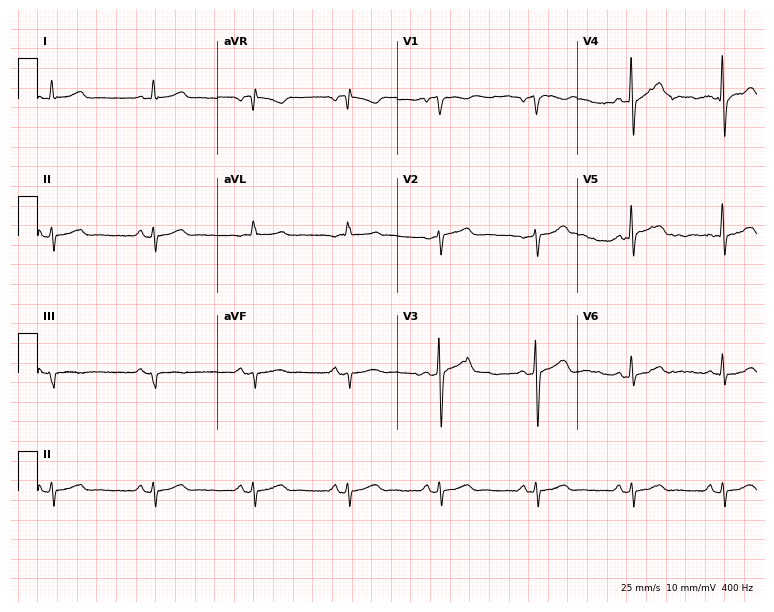
Standard 12-lead ECG recorded from a 59-year-old male (7.3-second recording at 400 Hz). None of these six findings is recorded: first-degree AV block, right bundle branch block, left bundle branch block, sinus bradycardia, atrial fibrillation, sinus tachycardia. Other findings, if any, are not listed.